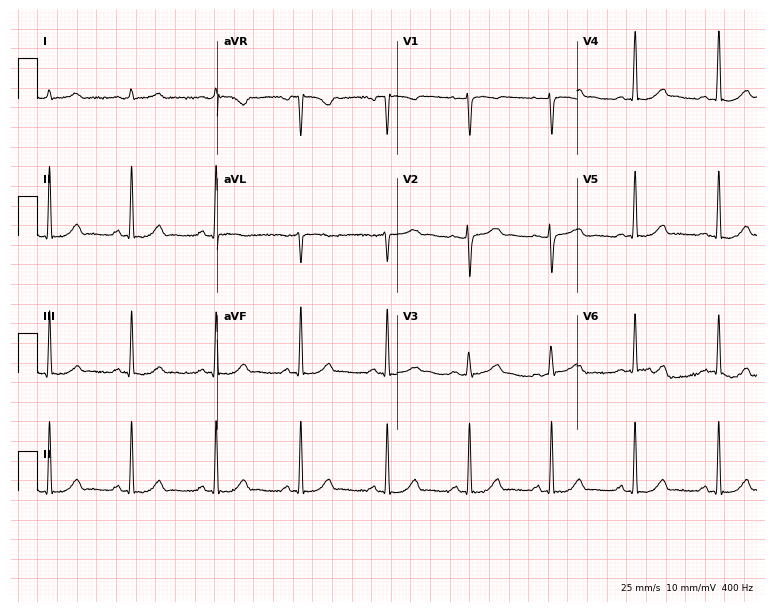
Standard 12-lead ECG recorded from a female patient, 30 years old. Read as a normal ECG.